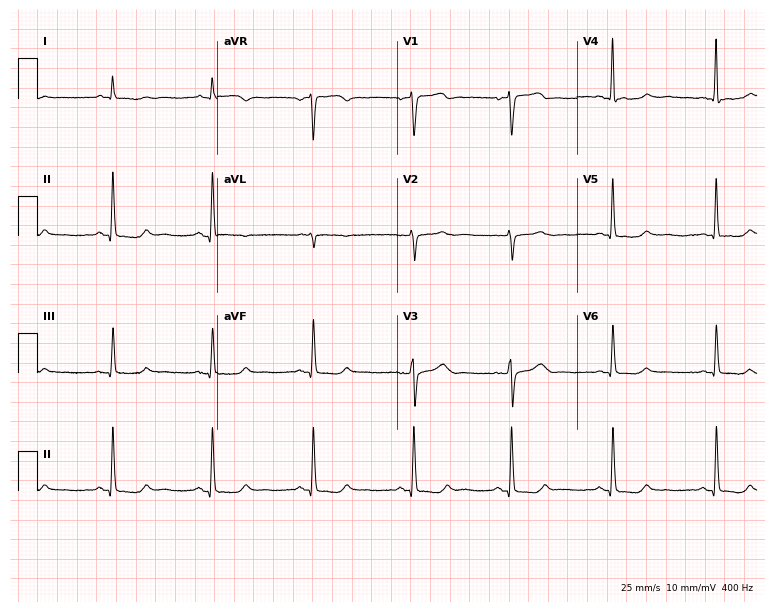
ECG (7.3-second recording at 400 Hz) — a female patient, 51 years old. Screened for six findings — first-degree AV block, right bundle branch block, left bundle branch block, sinus bradycardia, atrial fibrillation, sinus tachycardia — none is recorded. Findings outside these six are not listed.